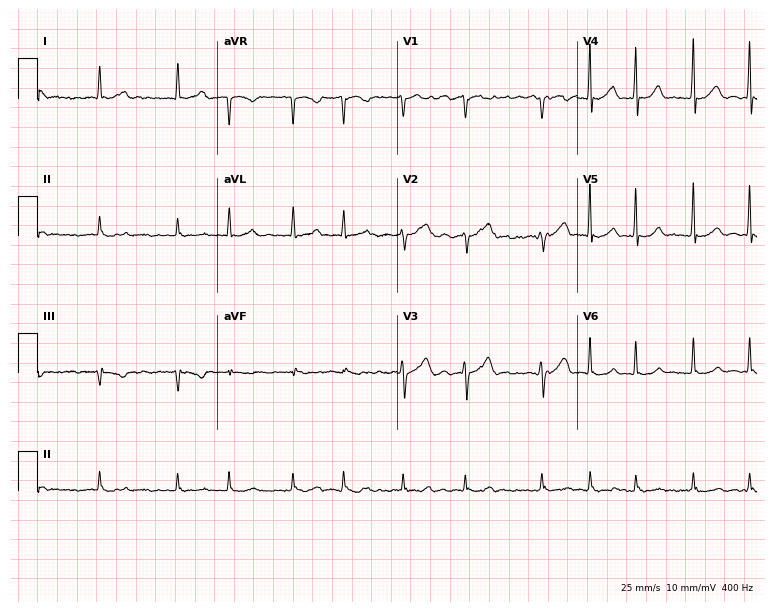
12-lead ECG (7.3-second recording at 400 Hz) from a 67-year-old woman. Findings include atrial fibrillation.